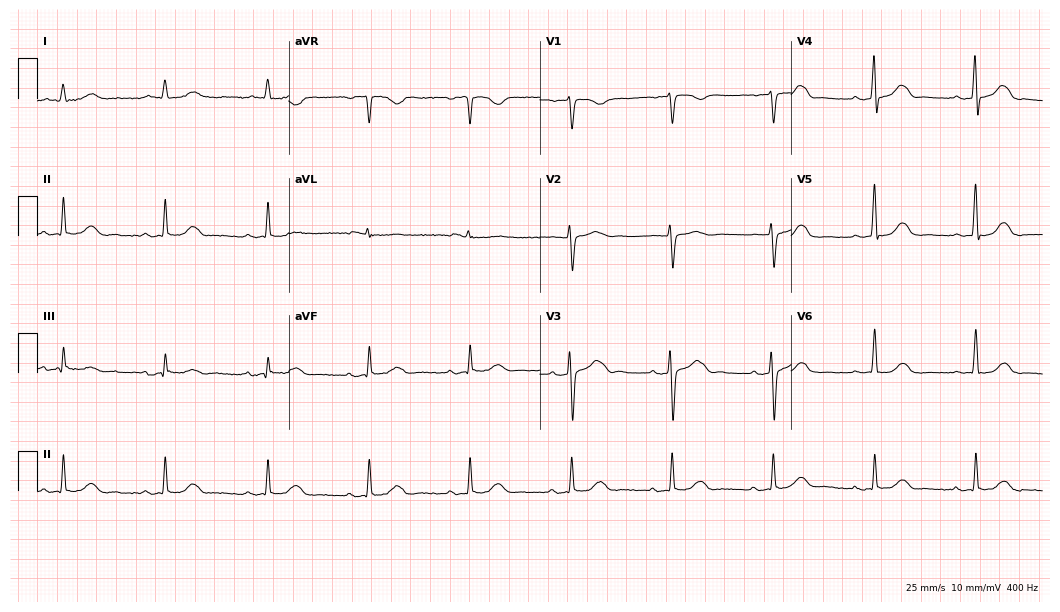
12-lead ECG from an 84-year-old female. Labelled as a normal ECG.